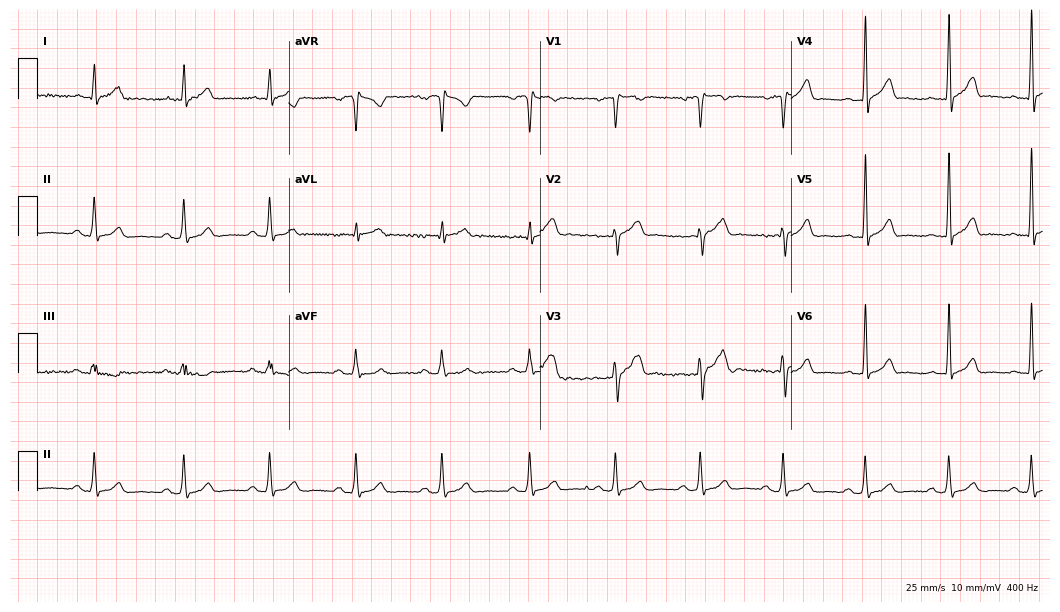
Electrocardiogram (10.2-second recording at 400 Hz), a 38-year-old man. Overall reading on record: normal ECG.